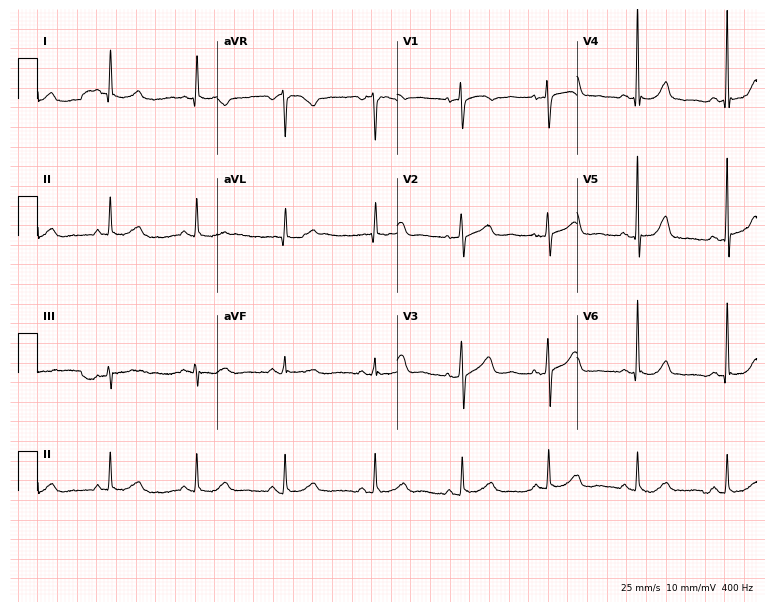
12-lead ECG from a female, 68 years old. Recorded interpretation: within normal limits.